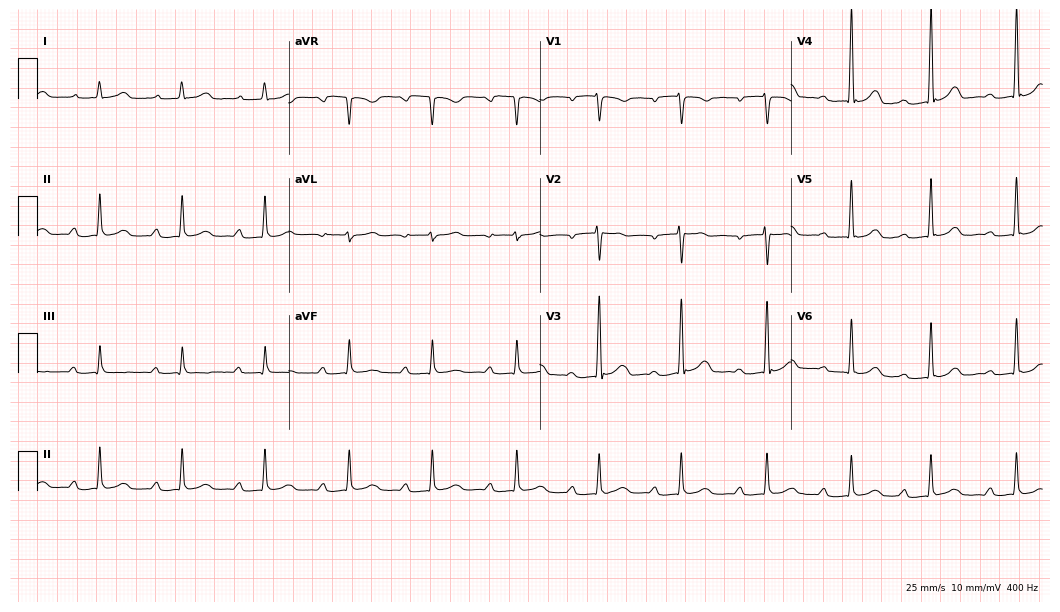
Electrocardiogram, a 51-year-old woman. Interpretation includes first-degree AV block.